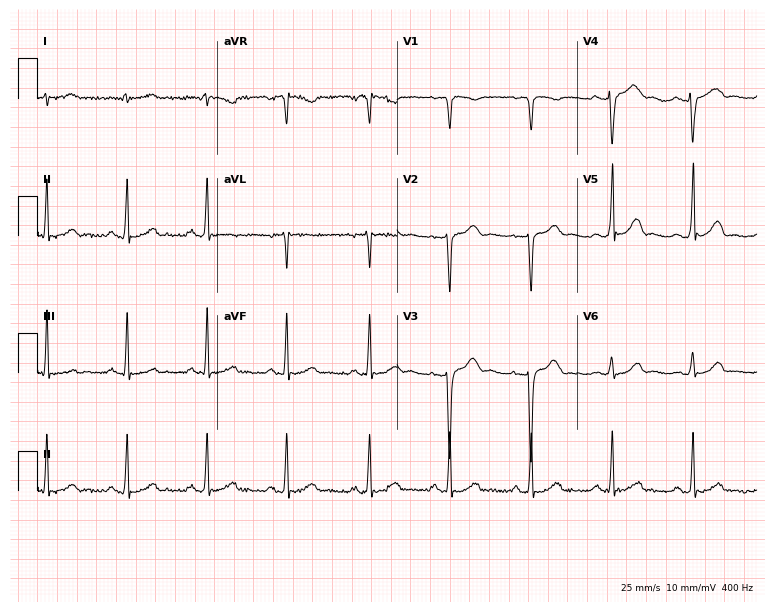
12-lead ECG from a female patient, 24 years old. Screened for six findings — first-degree AV block, right bundle branch block (RBBB), left bundle branch block (LBBB), sinus bradycardia, atrial fibrillation (AF), sinus tachycardia — none is recorded. Findings outside these six are not listed.